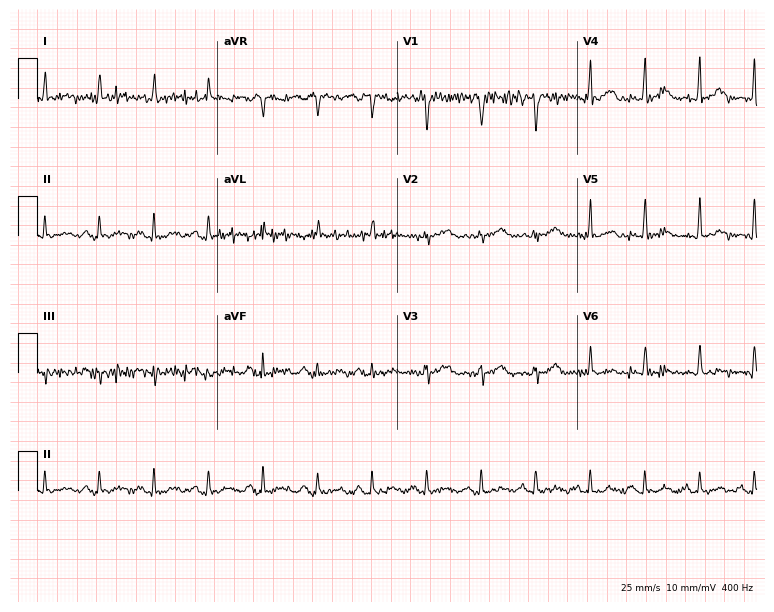
Resting 12-lead electrocardiogram. Patient: a male, 63 years old. None of these six findings is recorded: first-degree AV block, right bundle branch block (RBBB), left bundle branch block (LBBB), sinus bradycardia, atrial fibrillation (AF), sinus tachycardia.